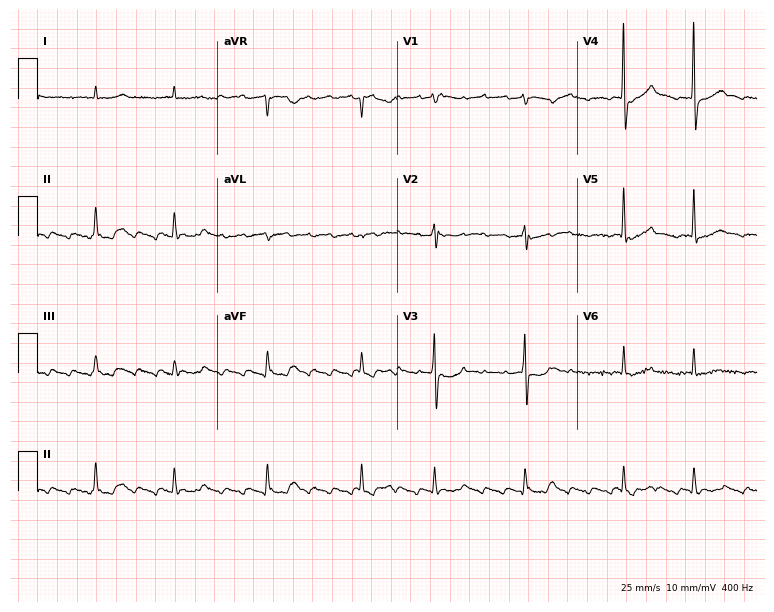
12-lead ECG (7.3-second recording at 400 Hz) from a 79-year-old male patient. Screened for six findings — first-degree AV block, right bundle branch block (RBBB), left bundle branch block (LBBB), sinus bradycardia, atrial fibrillation (AF), sinus tachycardia — none is recorded. Other findings, if any, are not listed.